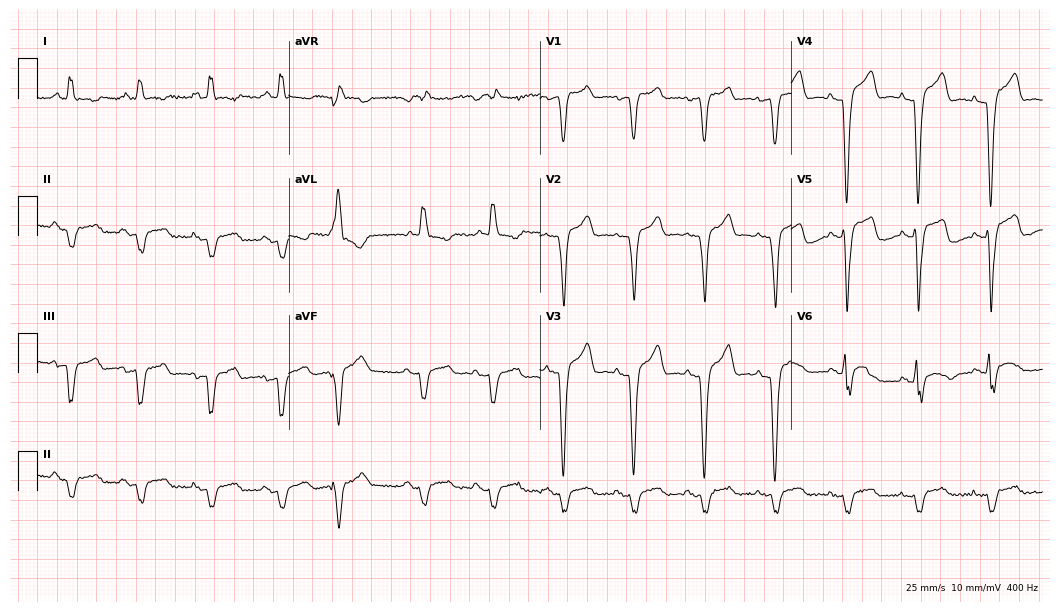
ECG — a 66-year-old male. Findings include left bundle branch block.